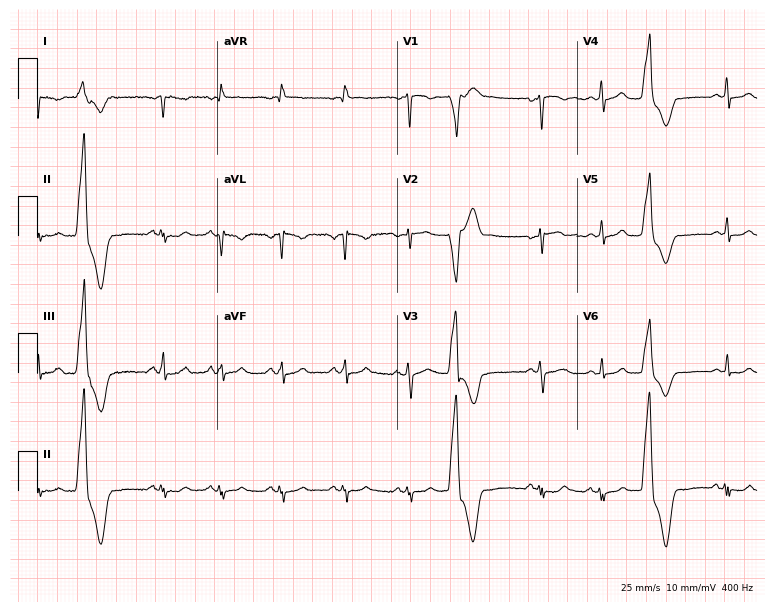
12-lead ECG (7.3-second recording at 400 Hz) from a 32-year-old woman. Screened for six findings — first-degree AV block, right bundle branch block (RBBB), left bundle branch block (LBBB), sinus bradycardia, atrial fibrillation (AF), sinus tachycardia — none is recorded.